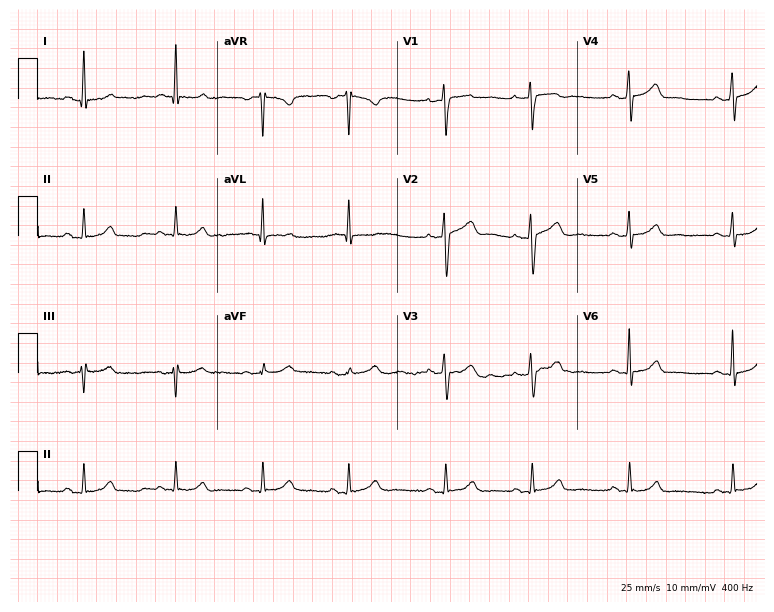
ECG — a 37-year-old female patient. Labelled as a normal ECG.